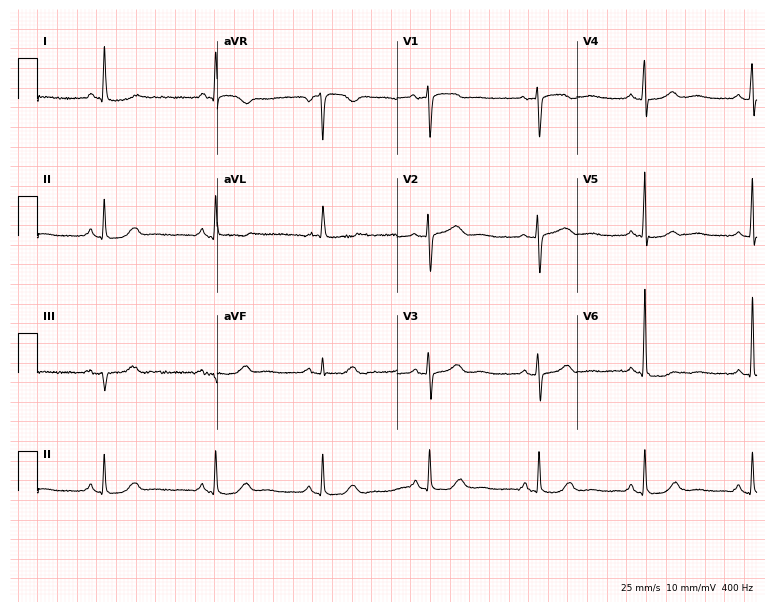
Resting 12-lead electrocardiogram. Patient: a 73-year-old female. None of these six findings is recorded: first-degree AV block, right bundle branch block, left bundle branch block, sinus bradycardia, atrial fibrillation, sinus tachycardia. Findings outside these six are not listed.